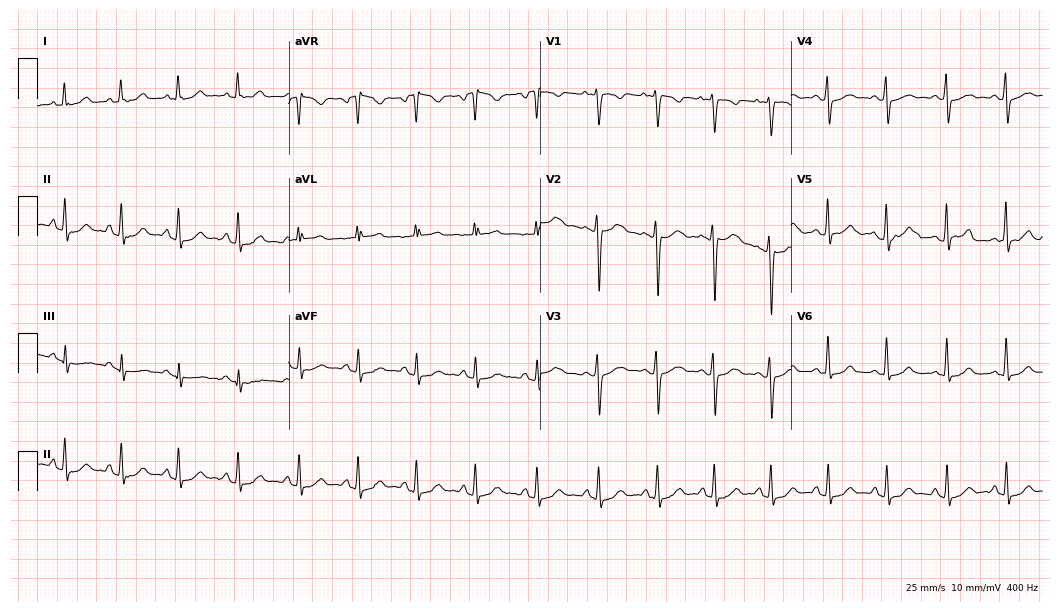
ECG (10.2-second recording at 400 Hz) — a female patient, 19 years old. Findings include sinus tachycardia (a sinus rate of 100 beats per minute or more).